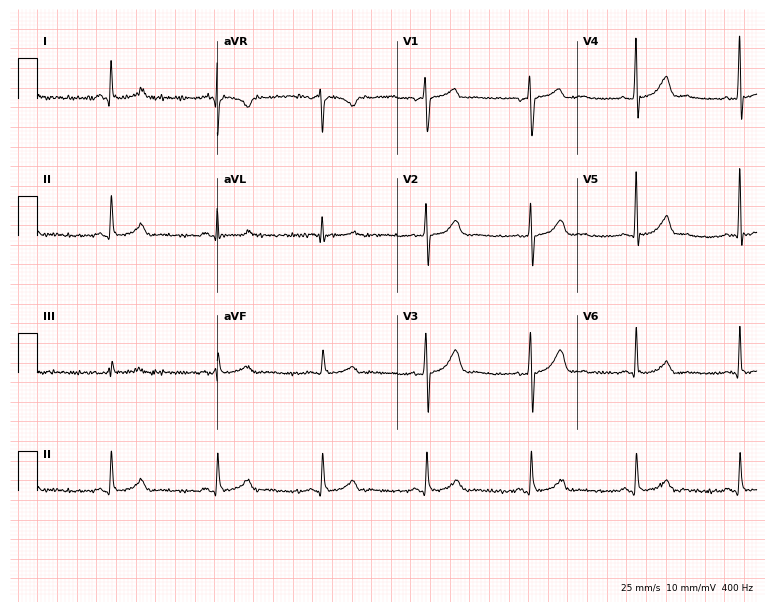
12-lead ECG from a male, 64 years old. No first-degree AV block, right bundle branch block, left bundle branch block, sinus bradycardia, atrial fibrillation or sinus tachycardia recorded for this tracing. Only these six findings were labelled.